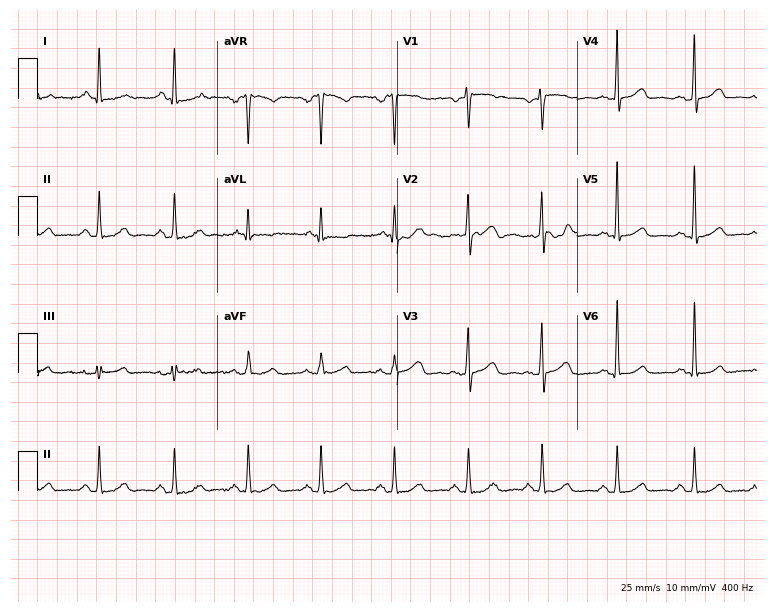
Standard 12-lead ECG recorded from a 54-year-old female patient (7.3-second recording at 400 Hz). Read as a normal ECG.